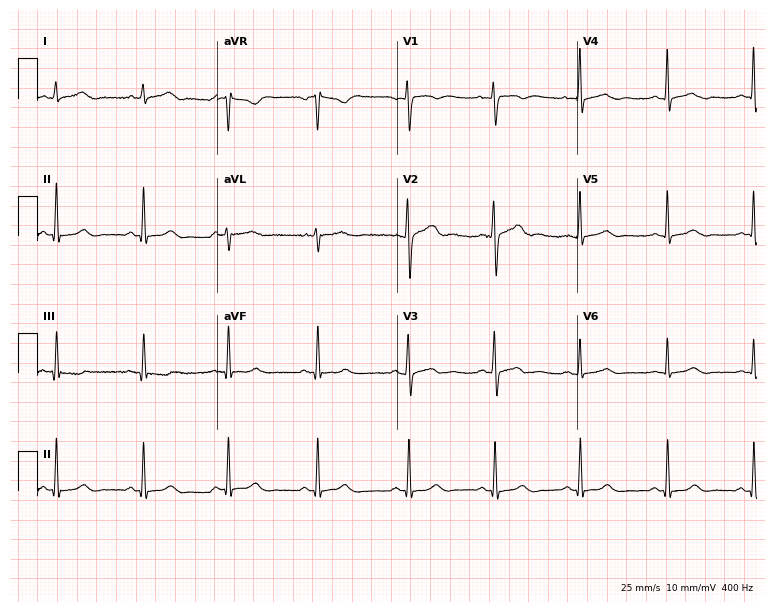
Electrocardiogram, a female, 24 years old. Overall reading on record: normal ECG.